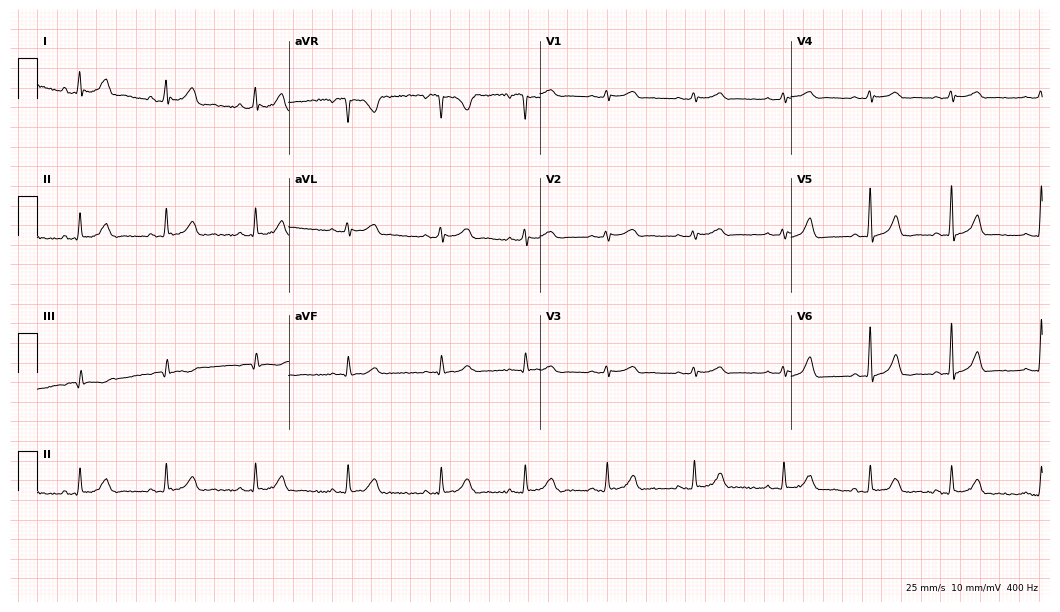
Electrocardiogram, a 42-year-old female patient. Overall reading on record: normal ECG.